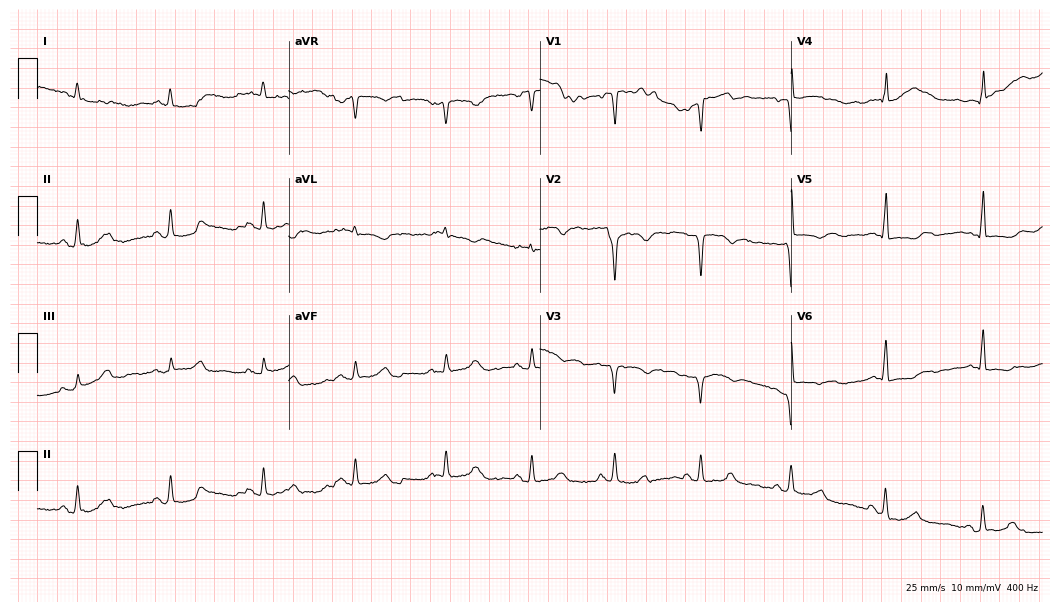
12-lead ECG from a 70-year-old male patient. No first-degree AV block, right bundle branch block (RBBB), left bundle branch block (LBBB), sinus bradycardia, atrial fibrillation (AF) or sinus tachycardia recorded for this tracing.